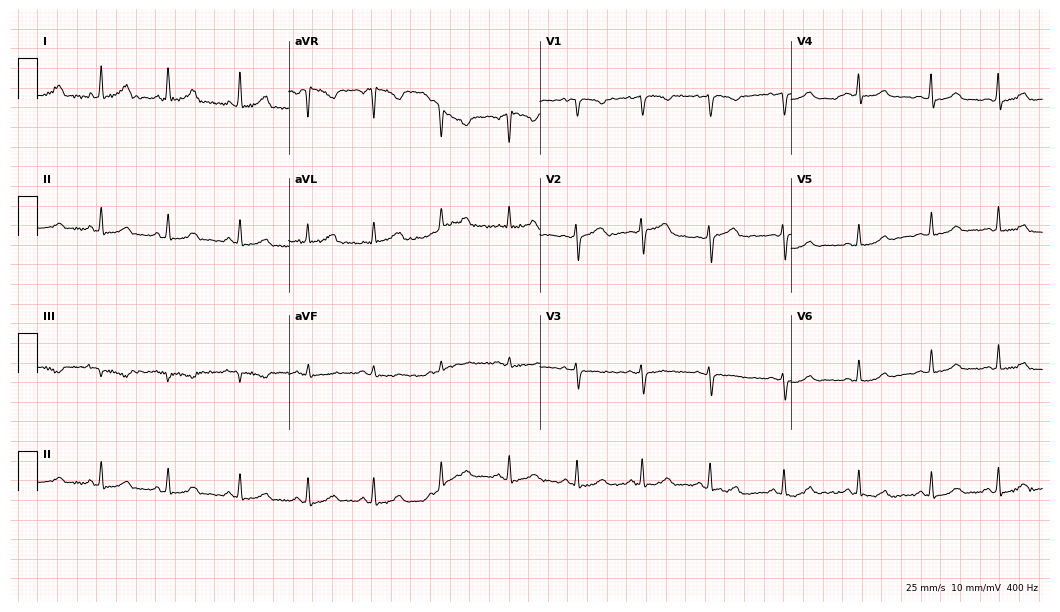
Electrocardiogram (10.2-second recording at 400 Hz), a 46-year-old woman. Overall reading on record: normal ECG.